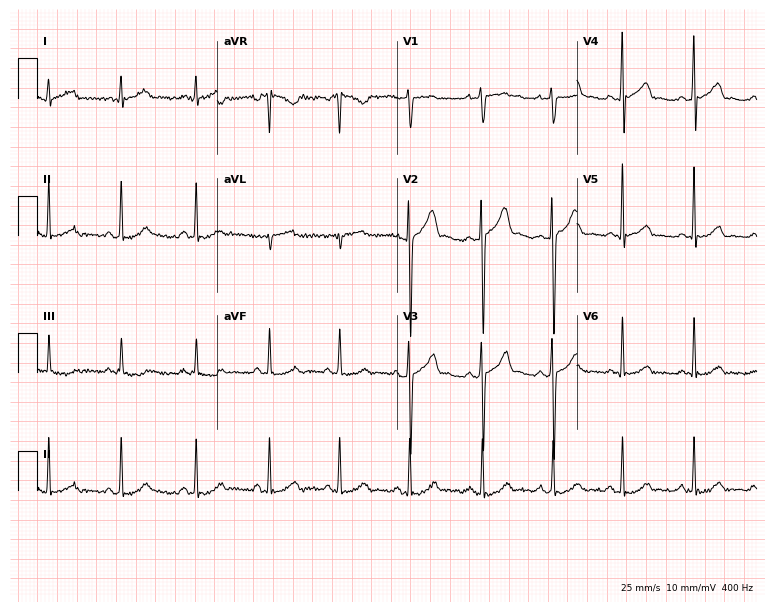
Standard 12-lead ECG recorded from a male, 17 years old. Read as a normal ECG.